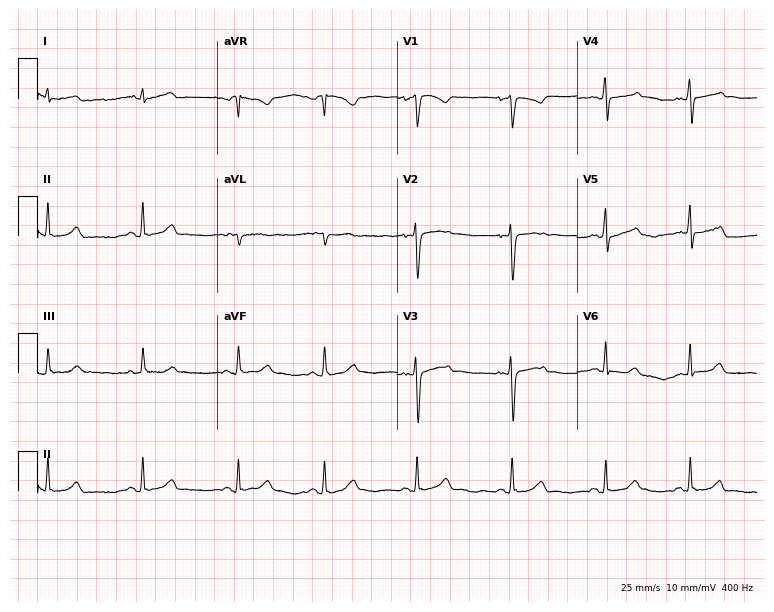
Electrocardiogram (7.3-second recording at 400 Hz), a female, 21 years old. Of the six screened findings (first-degree AV block, right bundle branch block, left bundle branch block, sinus bradycardia, atrial fibrillation, sinus tachycardia), none is recorded.